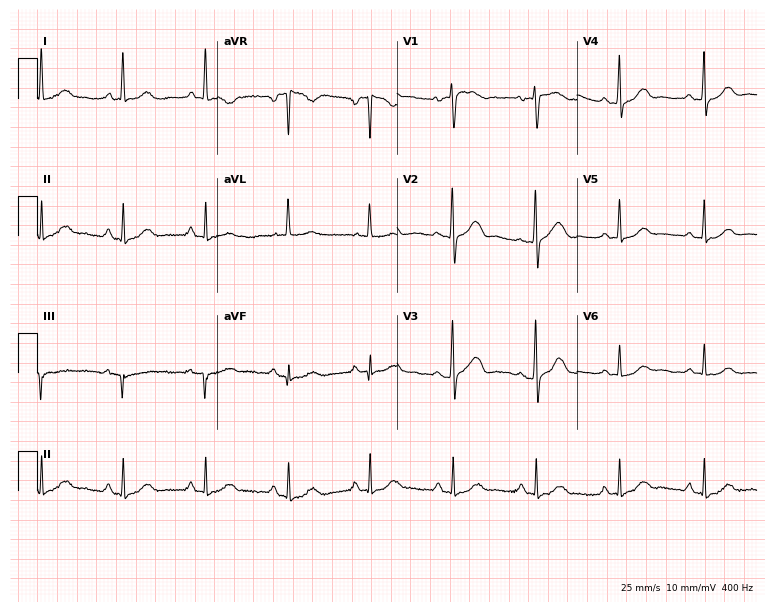
Resting 12-lead electrocardiogram. Patient: a woman, 65 years old. None of these six findings is recorded: first-degree AV block, right bundle branch block, left bundle branch block, sinus bradycardia, atrial fibrillation, sinus tachycardia. Only these six findings were labelled.